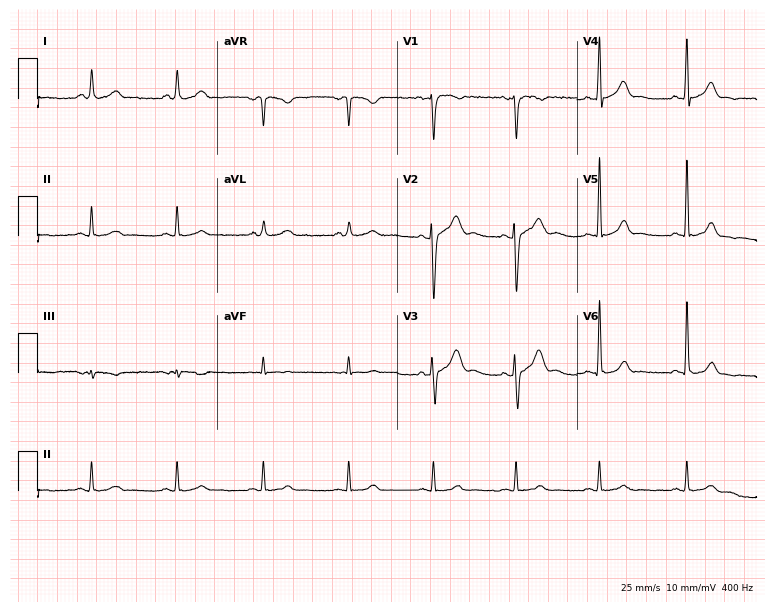
12-lead ECG from a female patient, 26 years old (7.3-second recording at 400 Hz). Recorded interpretation: within normal limits.